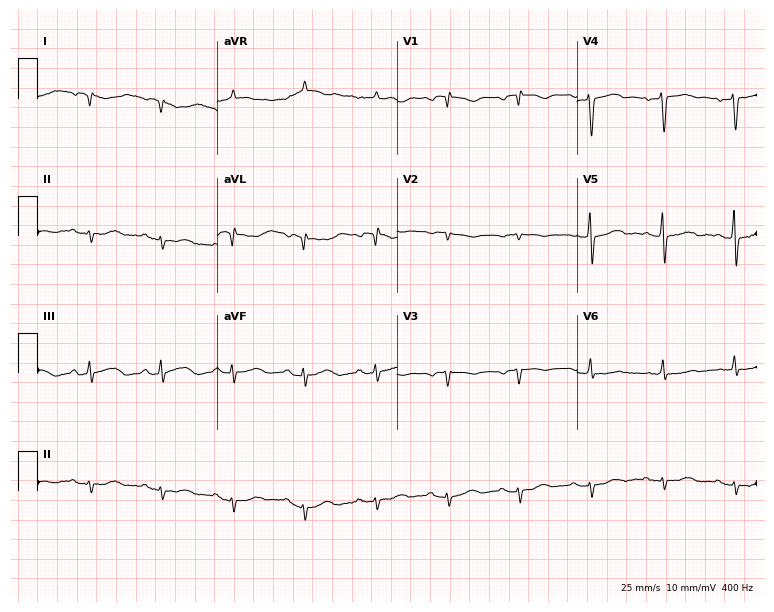
12-lead ECG from a 67-year-old woman (7.3-second recording at 400 Hz). No first-degree AV block, right bundle branch block (RBBB), left bundle branch block (LBBB), sinus bradycardia, atrial fibrillation (AF) or sinus tachycardia recorded for this tracing.